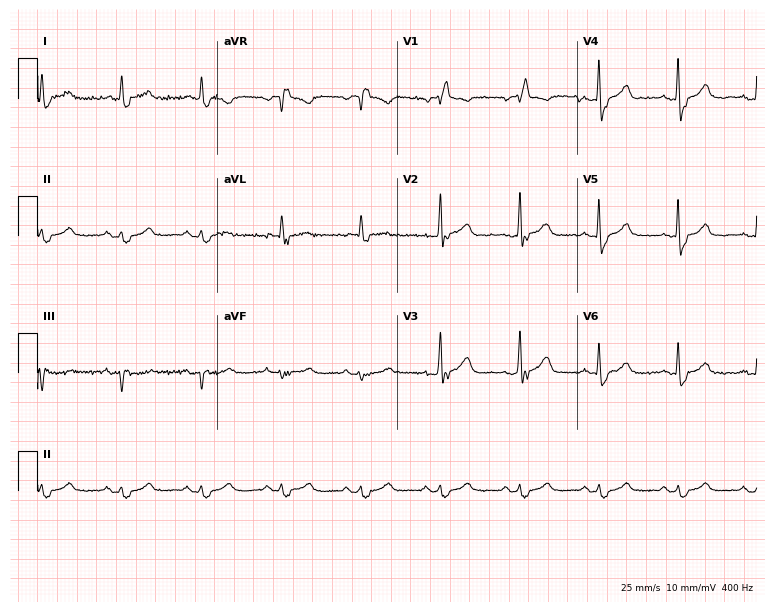
Standard 12-lead ECG recorded from a 77-year-old male patient (7.3-second recording at 400 Hz). The tracing shows right bundle branch block.